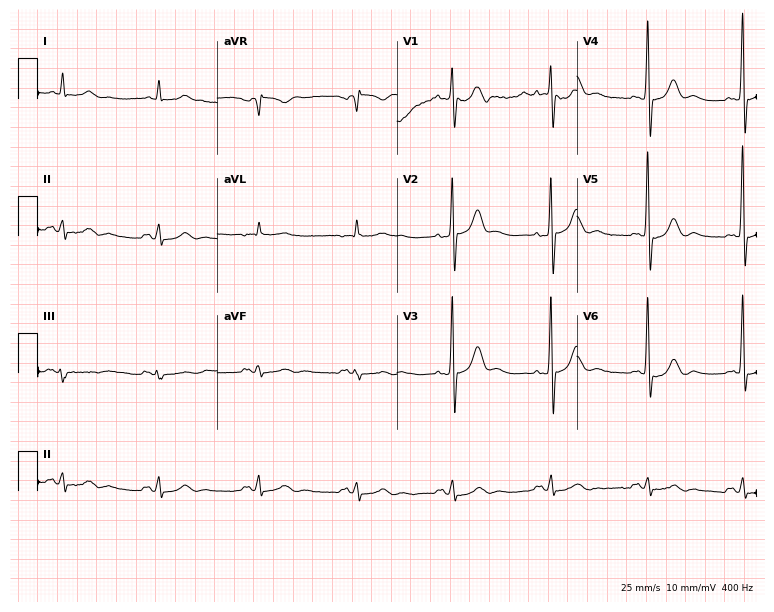
ECG (7.3-second recording at 400 Hz) — an 80-year-old man. Screened for six findings — first-degree AV block, right bundle branch block (RBBB), left bundle branch block (LBBB), sinus bradycardia, atrial fibrillation (AF), sinus tachycardia — none is recorded. Other findings, if any, are not listed.